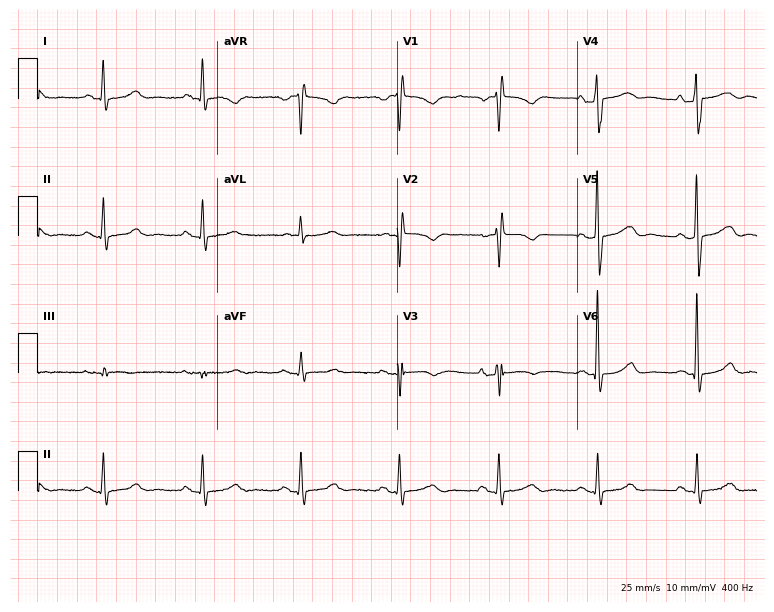
ECG — a female patient, 73 years old. Screened for six findings — first-degree AV block, right bundle branch block (RBBB), left bundle branch block (LBBB), sinus bradycardia, atrial fibrillation (AF), sinus tachycardia — none is recorded.